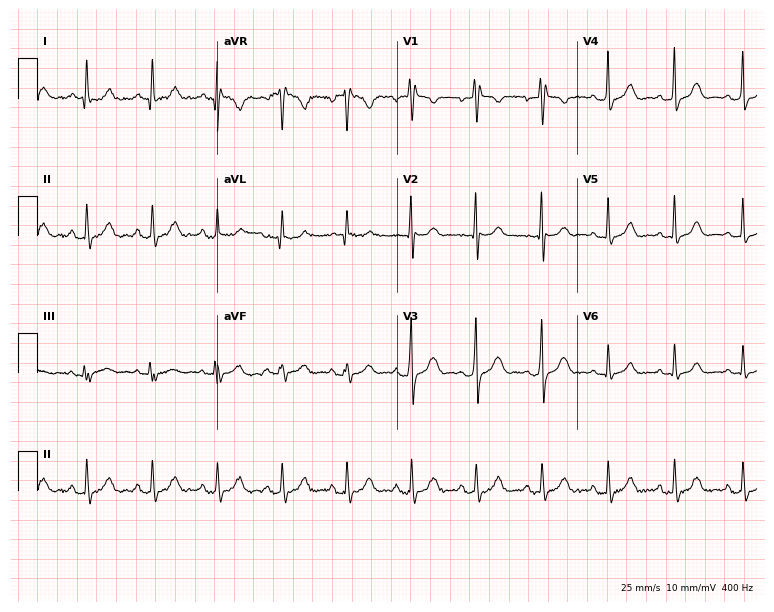
Resting 12-lead electrocardiogram. Patient: a female, 42 years old. Read as a normal ECG.